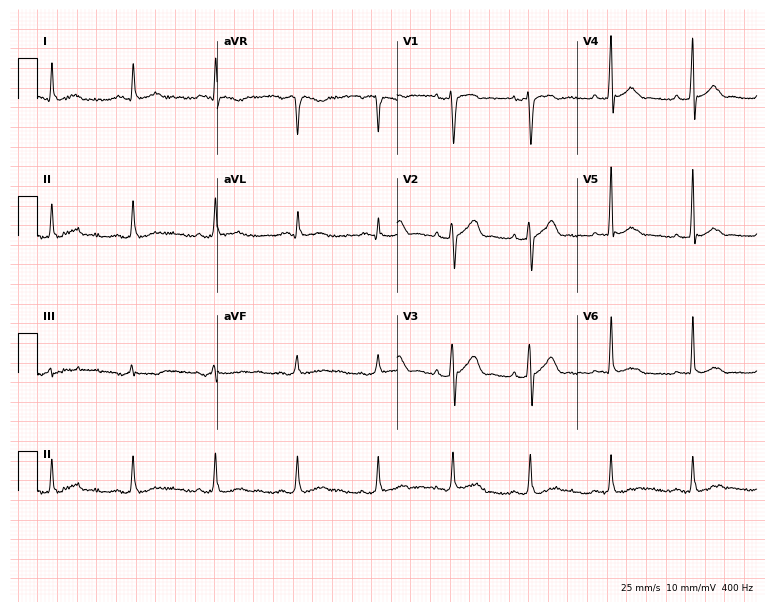
Resting 12-lead electrocardiogram (7.3-second recording at 400 Hz). Patient: a 67-year-old man. None of these six findings is recorded: first-degree AV block, right bundle branch block, left bundle branch block, sinus bradycardia, atrial fibrillation, sinus tachycardia. Findings outside these six are not listed.